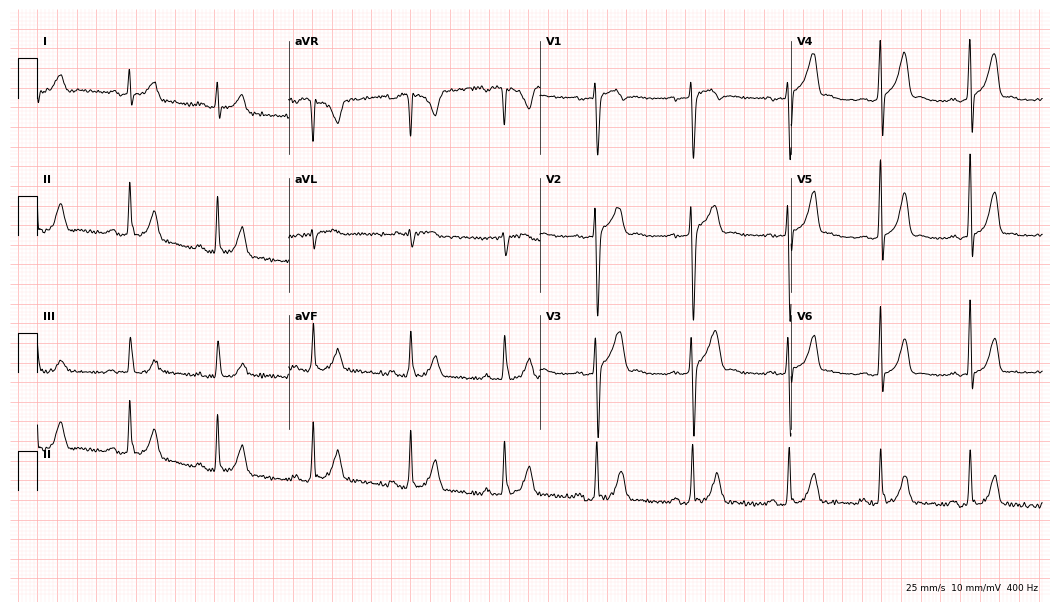
12-lead ECG from a male patient, 27 years old. Screened for six findings — first-degree AV block, right bundle branch block, left bundle branch block, sinus bradycardia, atrial fibrillation, sinus tachycardia — none is recorded.